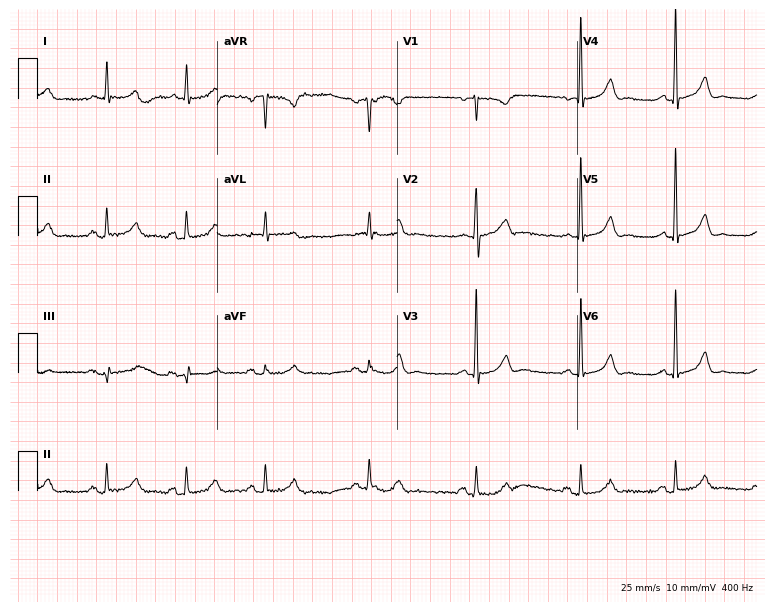
12-lead ECG from a female patient, 59 years old. Recorded interpretation: within normal limits.